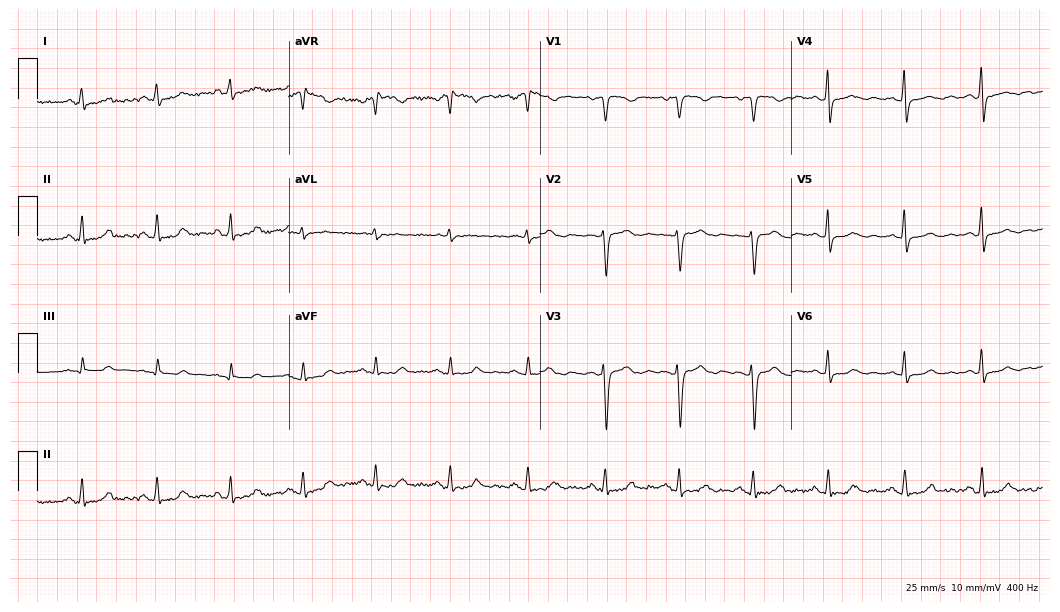
Standard 12-lead ECG recorded from a 47-year-old female patient. Read as a normal ECG.